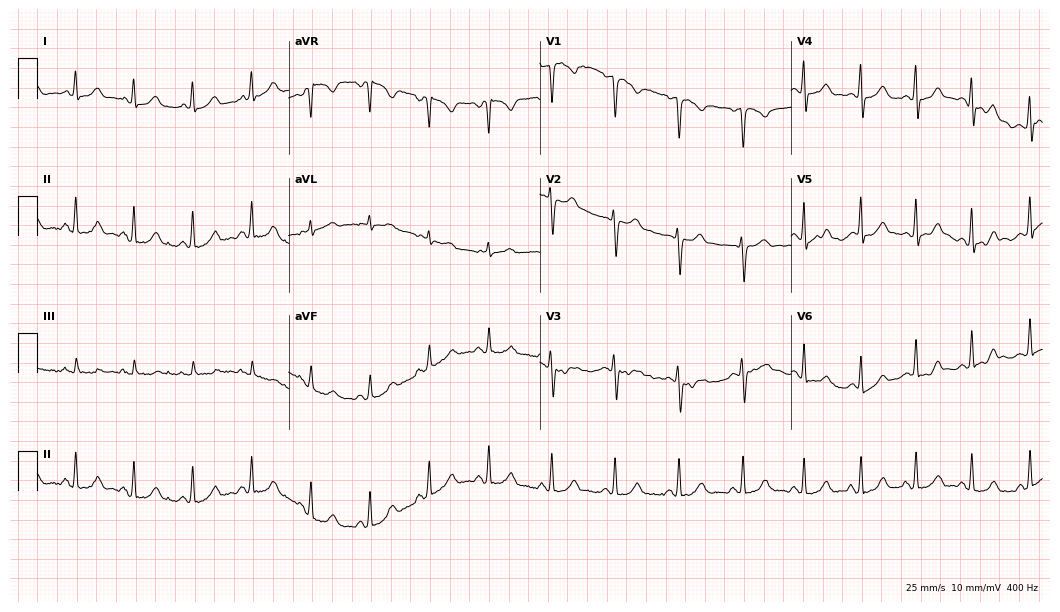
Standard 12-lead ECG recorded from a 23-year-old female. Read as a normal ECG.